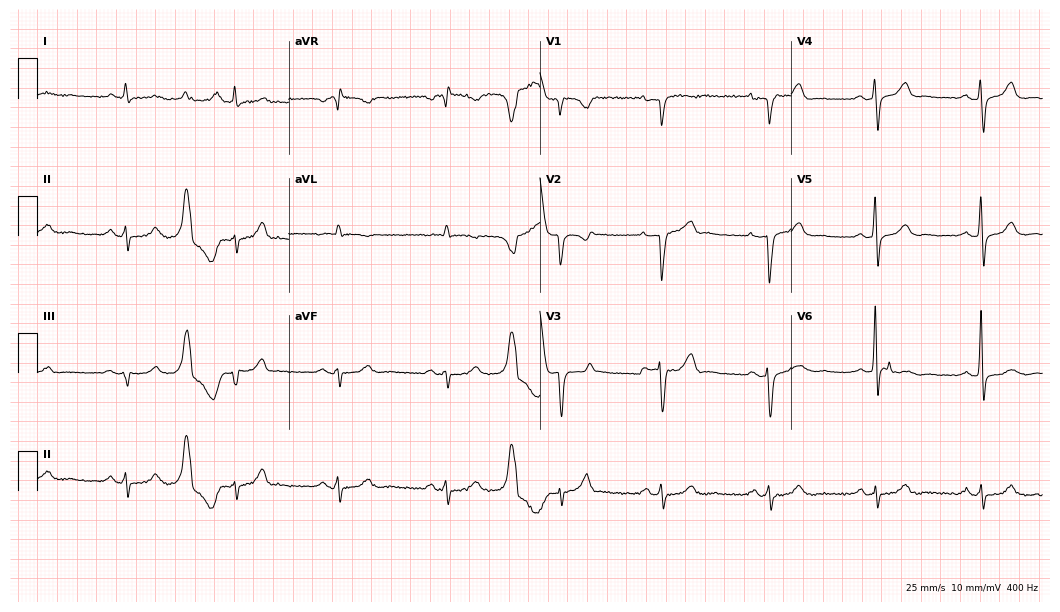
12-lead ECG from a man, 63 years old. No first-degree AV block, right bundle branch block, left bundle branch block, sinus bradycardia, atrial fibrillation or sinus tachycardia recorded for this tracing. Only these six findings were labelled.